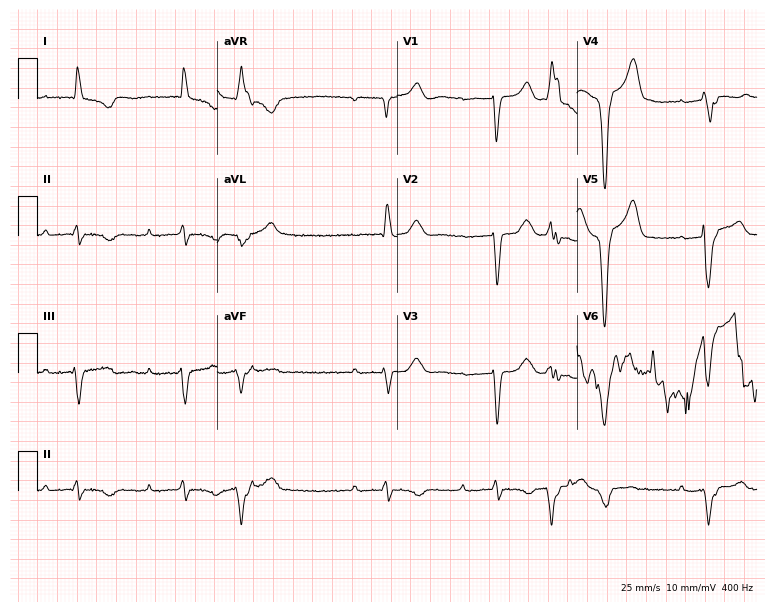
Standard 12-lead ECG recorded from a woman, 84 years old (7.3-second recording at 400 Hz). None of these six findings is recorded: first-degree AV block, right bundle branch block (RBBB), left bundle branch block (LBBB), sinus bradycardia, atrial fibrillation (AF), sinus tachycardia. Other findings, if any, are not listed.